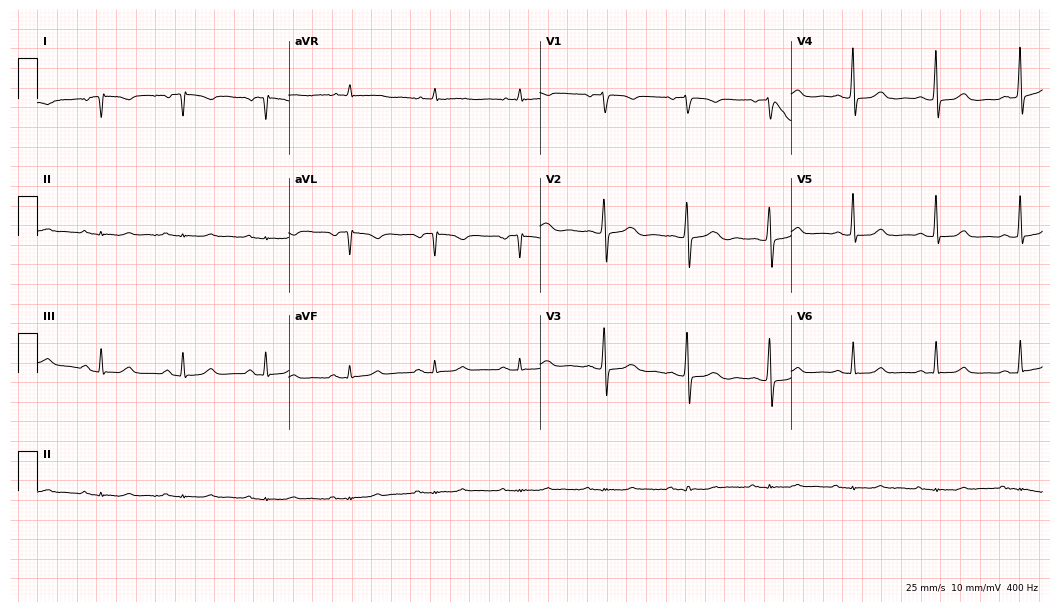
ECG (10.2-second recording at 400 Hz) — a female patient, 52 years old. Screened for six findings — first-degree AV block, right bundle branch block (RBBB), left bundle branch block (LBBB), sinus bradycardia, atrial fibrillation (AF), sinus tachycardia — none is recorded.